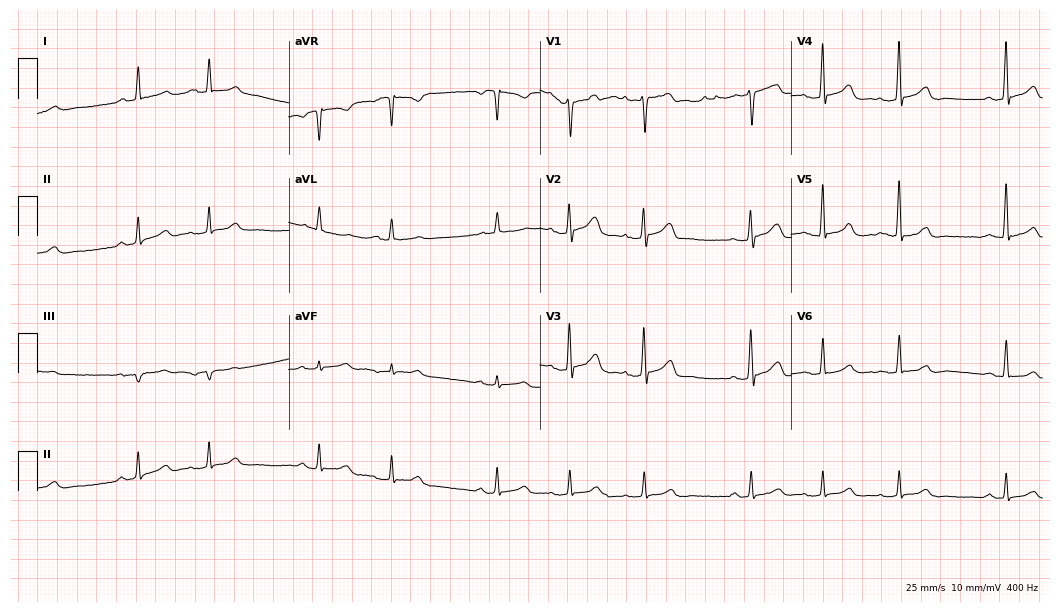
Standard 12-lead ECG recorded from a 66-year-old male (10.2-second recording at 400 Hz). None of these six findings is recorded: first-degree AV block, right bundle branch block, left bundle branch block, sinus bradycardia, atrial fibrillation, sinus tachycardia. Findings outside these six are not listed.